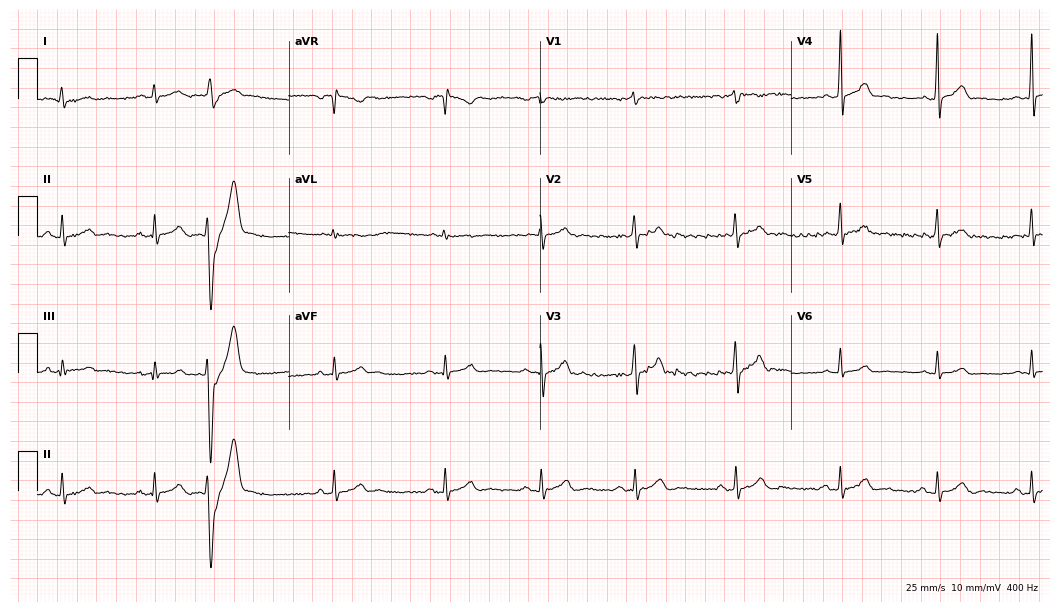
Electrocardiogram (10.2-second recording at 400 Hz), a 23-year-old male patient. Of the six screened findings (first-degree AV block, right bundle branch block, left bundle branch block, sinus bradycardia, atrial fibrillation, sinus tachycardia), none is recorded. Other findings, if any, are not listed.